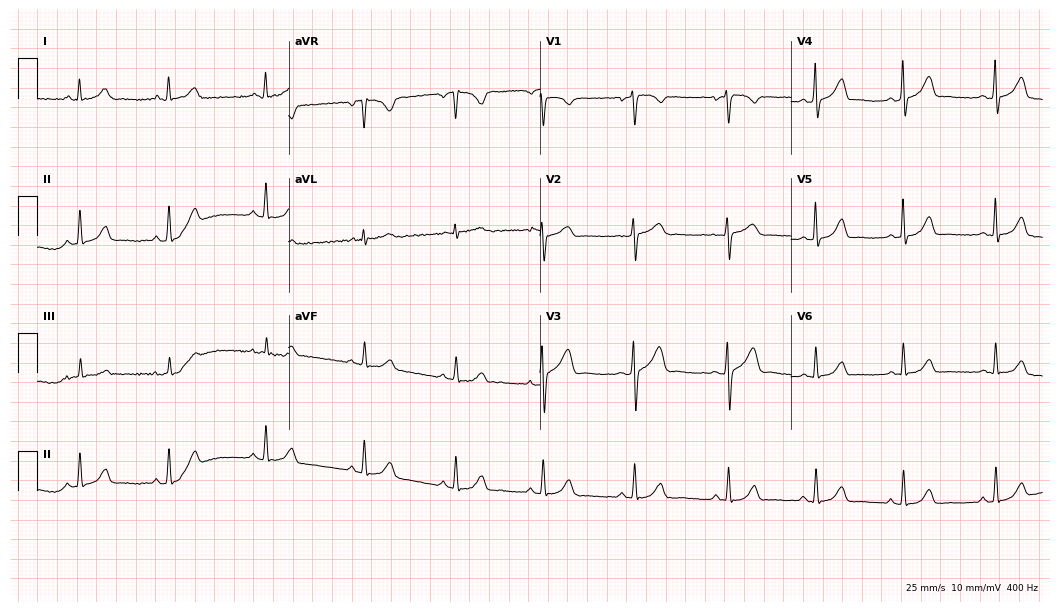
12-lead ECG (10.2-second recording at 400 Hz) from a 42-year-old female. Labelled as a normal ECG.